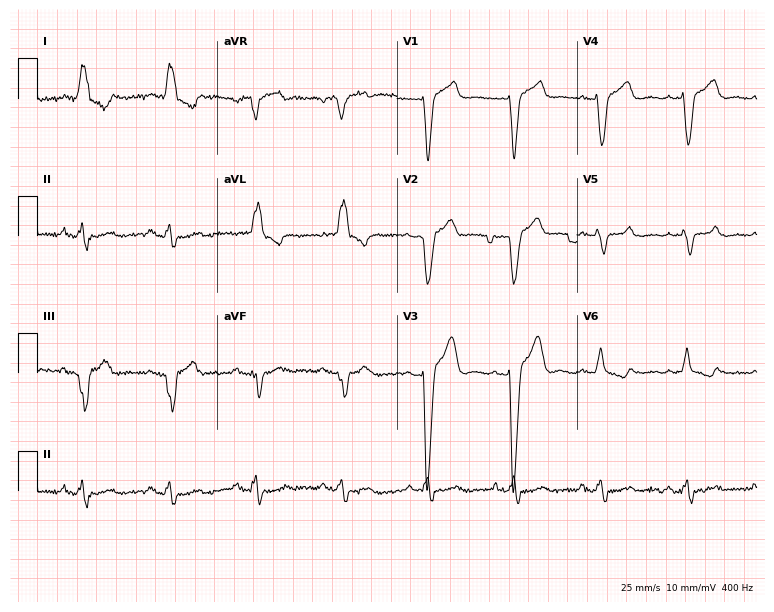
12-lead ECG (7.3-second recording at 400 Hz) from a man, 63 years old. Findings include left bundle branch block.